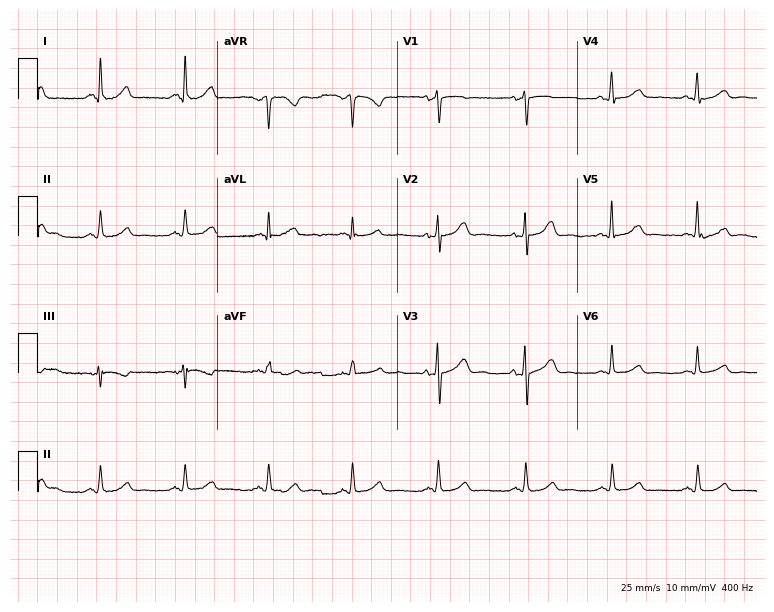
ECG (7.3-second recording at 400 Hz) — a female, 58 years old. Screened for six findings — first-degree AV block, right bundle branch block (RBBB), left bundle branch block (LBBB), sinus bradycardia, atrial fibrillation (AF), sinus tachycardia — none is recorded. Other findings, if any, are not listed.